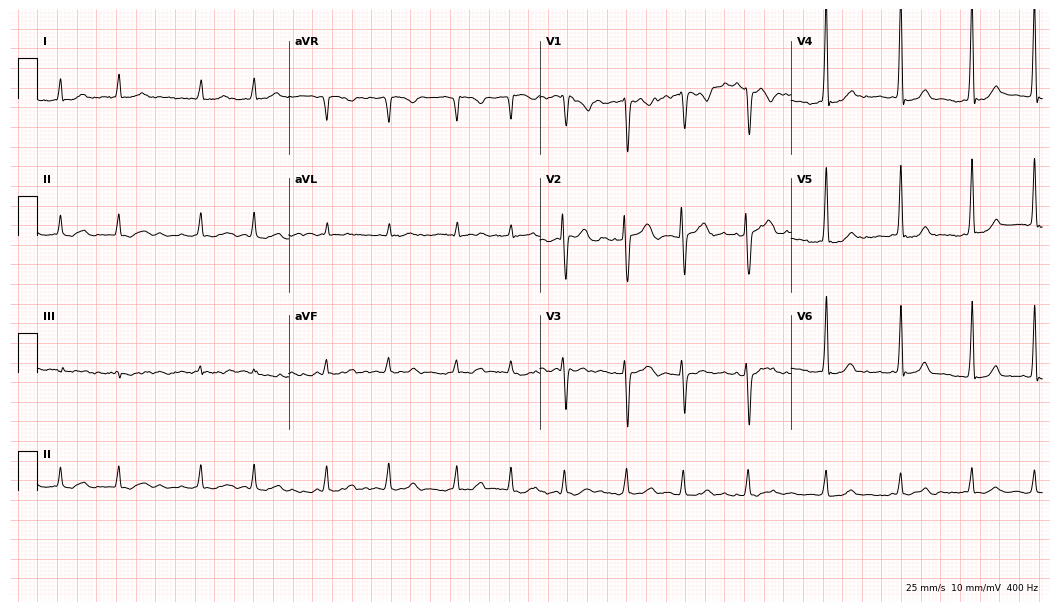
12-lead ECG from a man, 42 years old. Shows atrial fibrillation.